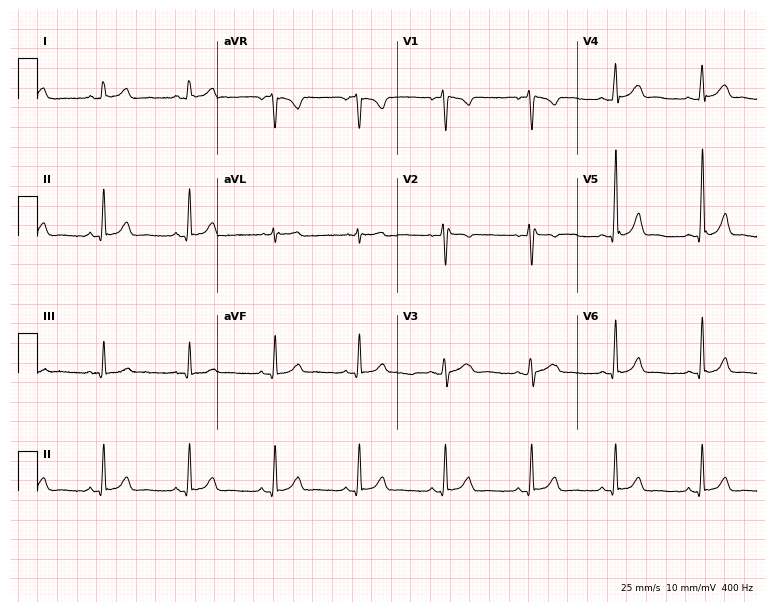
ECG — a woman, 41 years old. Screened for six findings — first-degree AV block, right bundle branch block, left bundle branch block, sinus bradycardia, atrial fibrillation, sinus tachycardia — none is recorded.